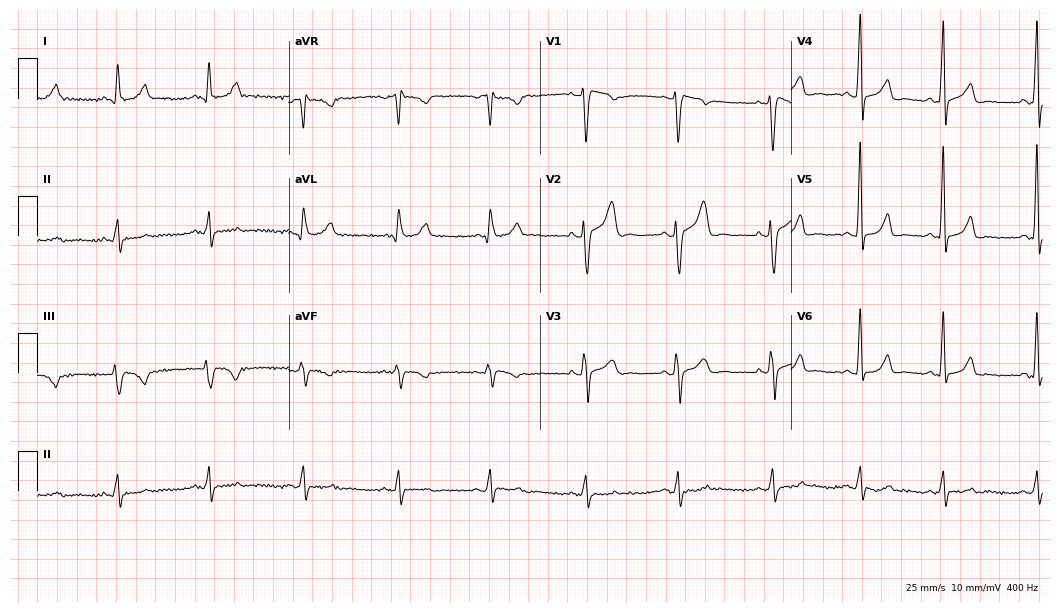
ECG (10.2-second recording at 400 Hz) — a male patient, 32 years old. Screened for six findings — first-degree AV block, right bundle branch block (RBBB), left bundle branch block (LBBB), sinus bradycardia, atrial fibrillation (AF), sinus tachycardia — none is recorded. Other findings, if any, are not listed.